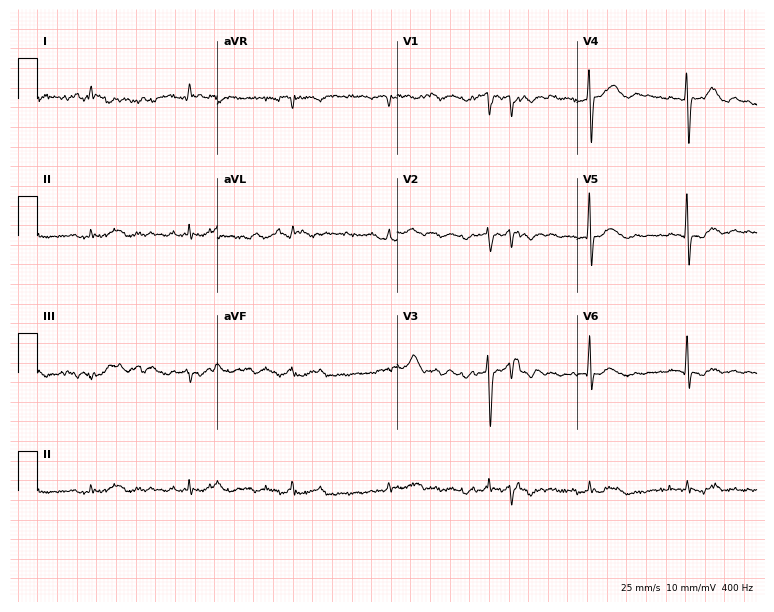
12-lead ECG from a 69-year-old male. No first-degree AV block, right bundle branch block, left bundle branch block, sinus bradycardia, atrial fibrillation or sinus tachycardia recorded for this tracing.